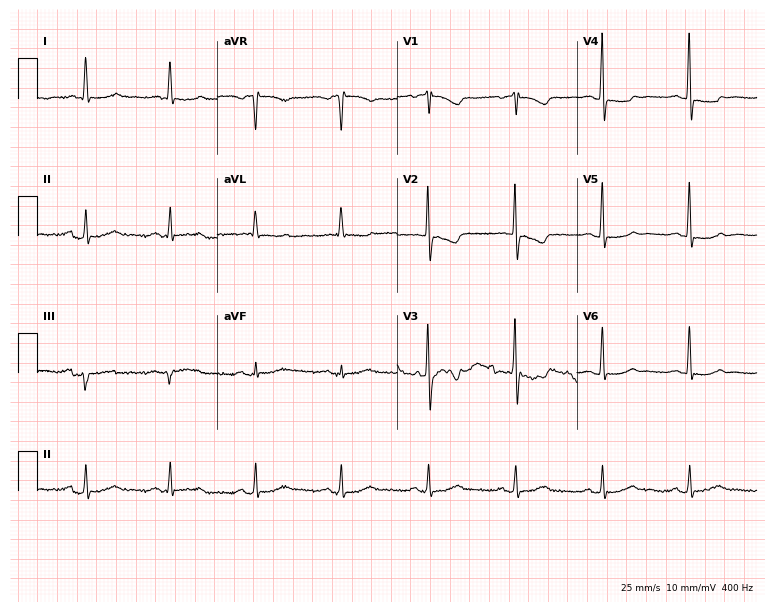
12-lead ECG from a 64-year-old woman. Screened for six findings — first-degree AV block, right bundle branch block, left bundle branch block, sinus bradycardia, atrial fibrillation, sinus tachycardia — none is recorded. Other findings, if any, are not listed.